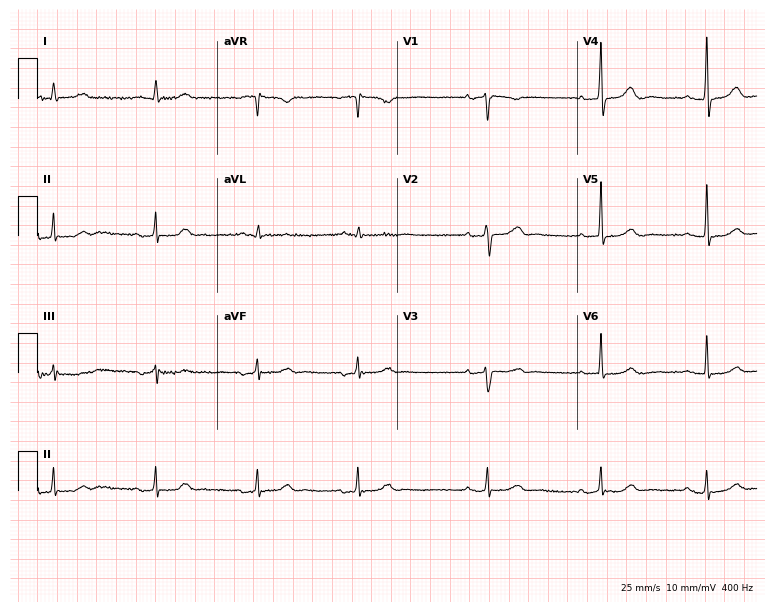
Electrocardiogram (7.3-second recording at 400 Hz), a female patient, 87 years old. Overall reading on record: normal ECG.